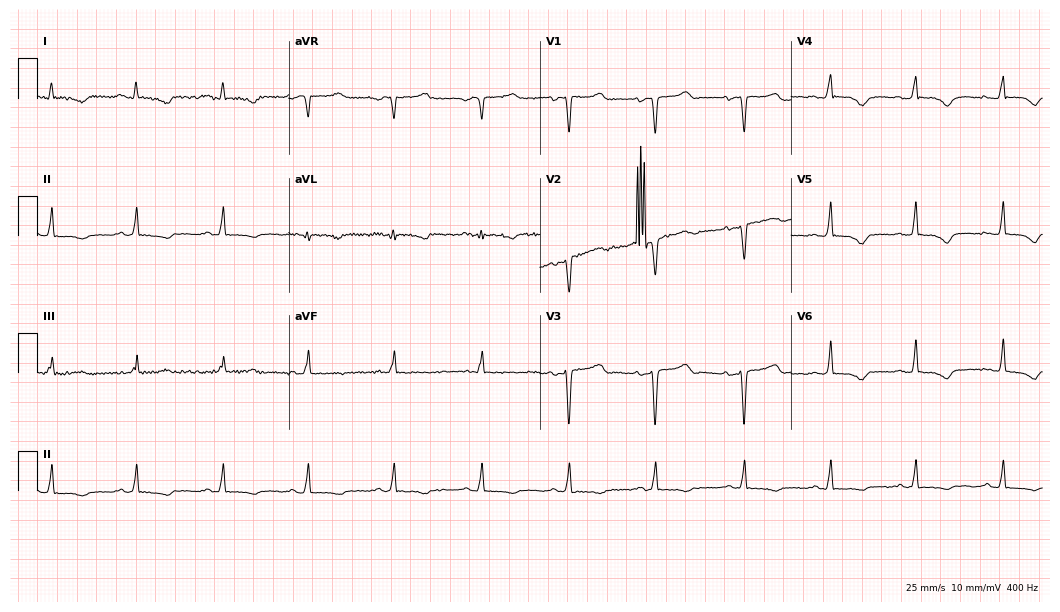
Resting 12-lead electrocardiogram. Patient: a 58-year-old female. None of these six findings is recorded: first-degree AV block, right bundle branch block, left bundle branch block, sinus bradycardia, atrial fibrillation, sinus tachycardia. Only these six findings were labelled.